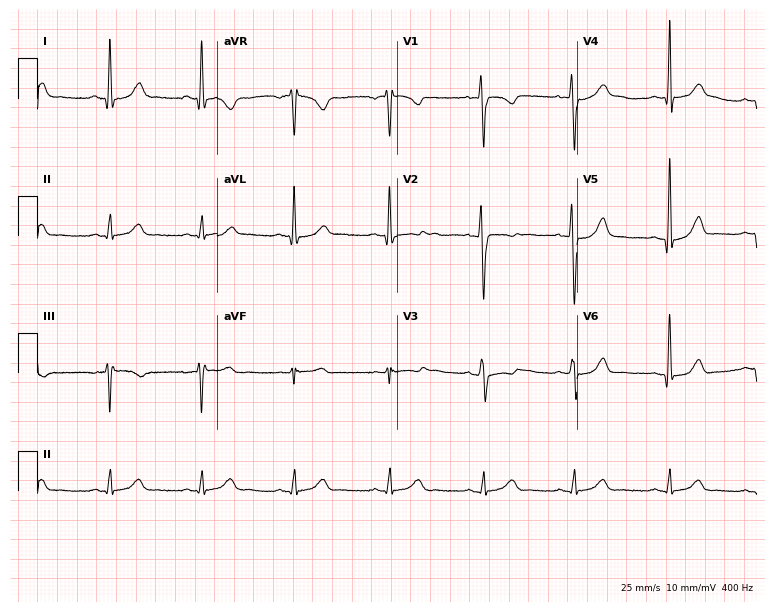
Resting 12-lead electrocardiogram. Patient: a 17-year-old female. Read as a normal ECG.